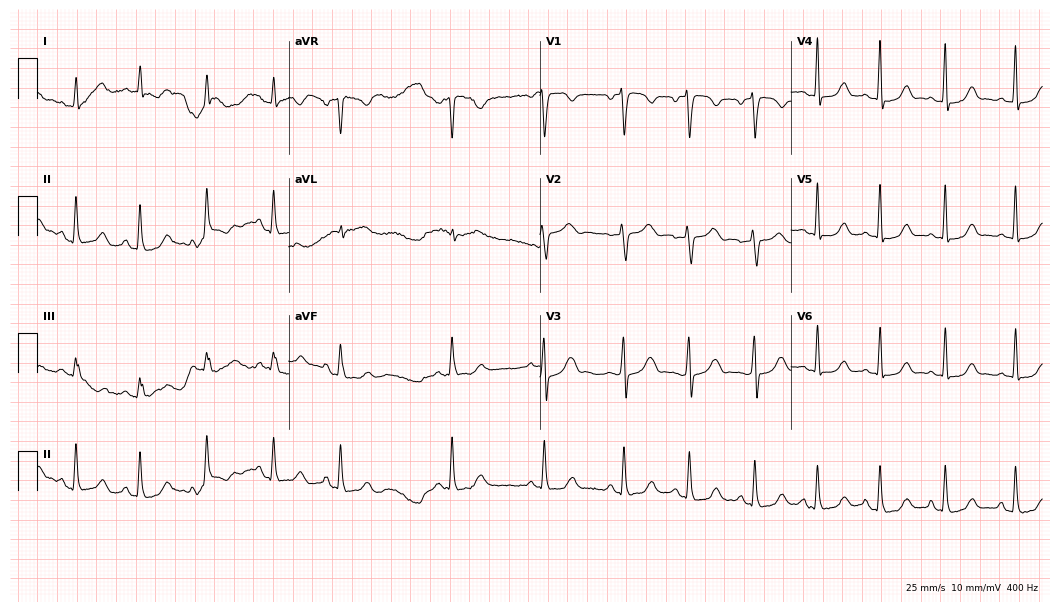
12-lead ECG from a woman, 35 years old. Labelled as a normal ECG.